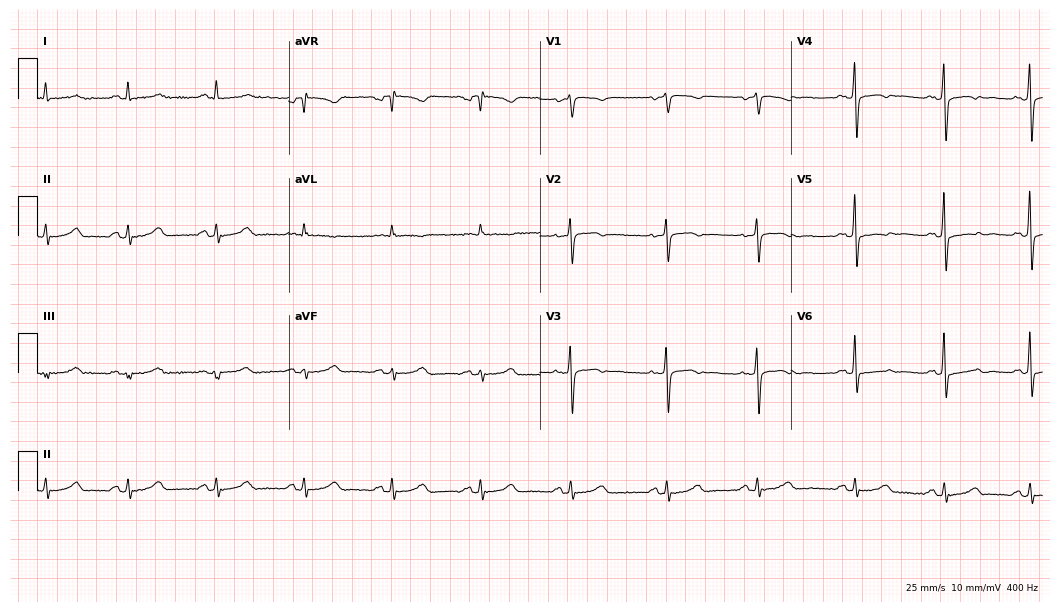
Electrocardiogram, a 55-year-old woman. Overall reading on record: normal ECG.